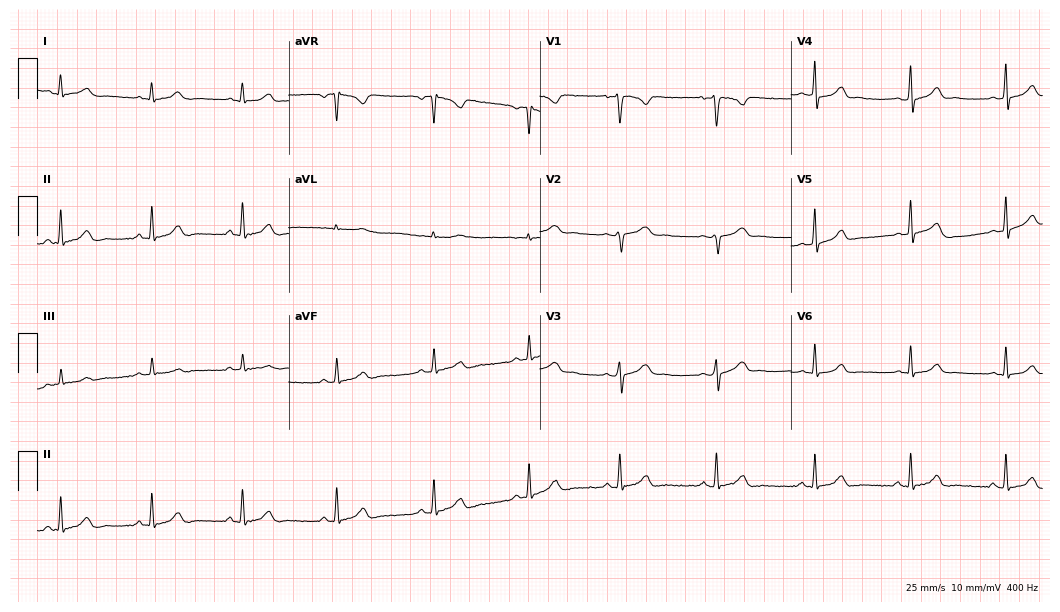
Electrocardiogram (10.2-second recording at 400 Hz), a female patient, 19 years old. Overall reading on record: normal ECG.